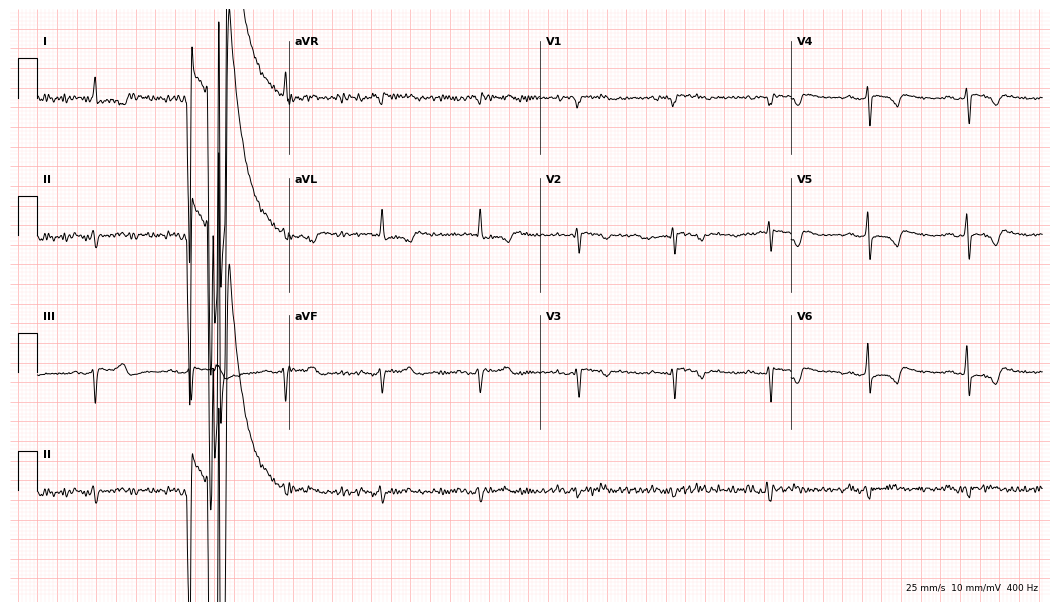
Resting 12-lead electrocardiogram (10.2-second recording at 400 Hz). Patient: a 66-year-old man. None of these six findings is recorded: first-degree AV block, right bundle branch block (RBBB), left bundle branch block (LBBB), sinus bradycardia, atrial fibrillation (AF), sinus tachycardia. Other findings, if any, are not listed.